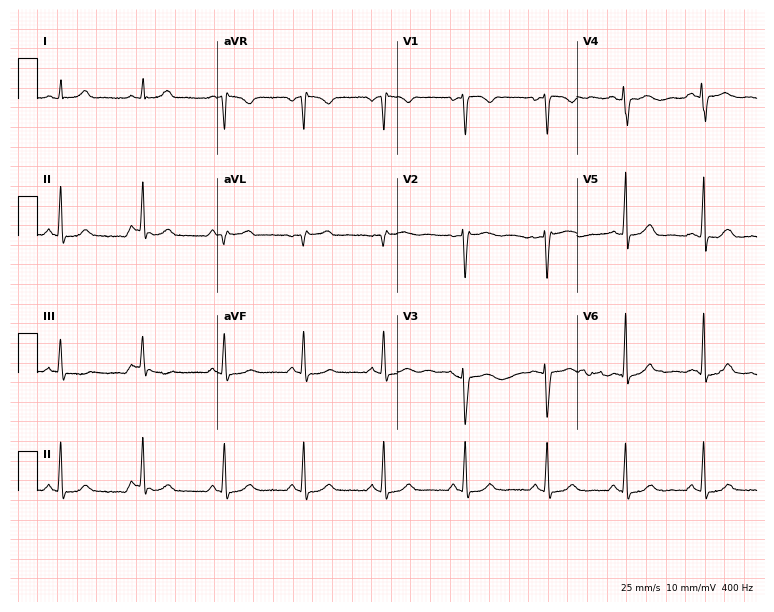
ECG — a female, 32 years old. Screened for six findings — first-degree AV block, right bundle branch block, left bundle branch block, sinus bradycardia, atrial fibrillation, sinus tachycardia — none is recorded. Other findings, if any, are not listed.